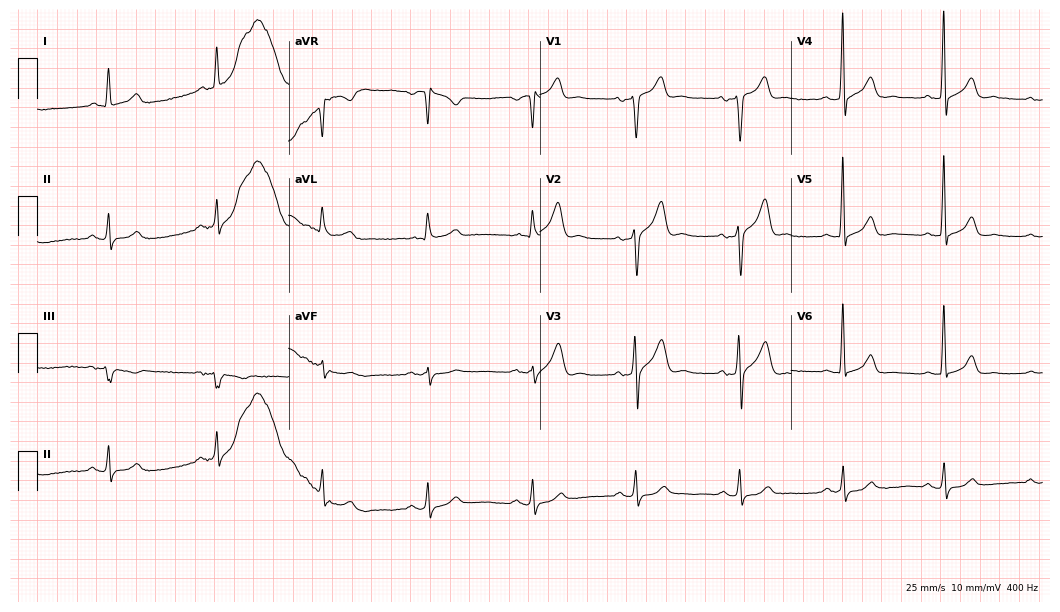
ECG — a male, 66 years old. Screened for six findings — first-degree AV block, right bundle branch block (RBBB), left bundle branch block (LBBB), sinus bradycardia, atrial fibrillation (AF), sinus tachycardia — none is recorded. Only these six findings were labelled.